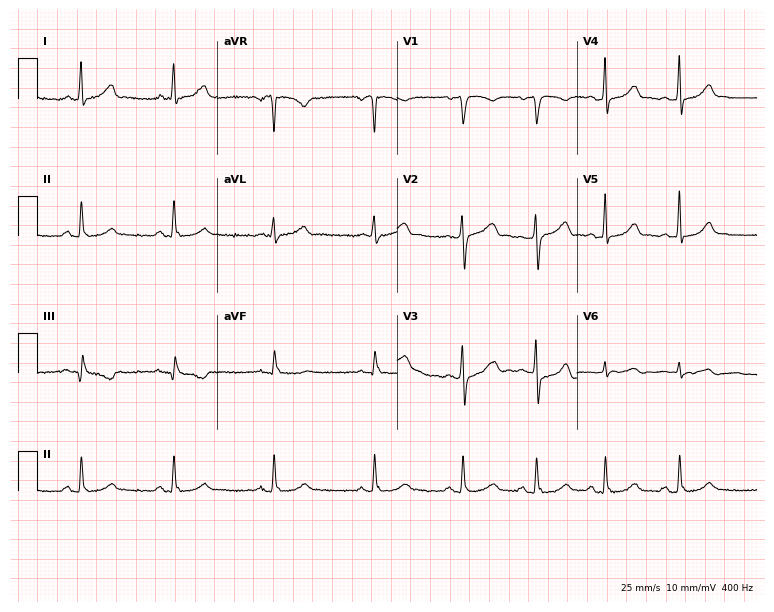
Standard 12-lead ECG recorded from a 29-year-old female patient (7.3-second recording at 400 Hz). None of these six findings is recorded: first-degree AV block, right bundle branch block (RBBB), left bundle branch block (LBBB), sinus bradycardia, atrial fibrillation (AF), sinus tachycardia. Other findings, if any, are not listed.